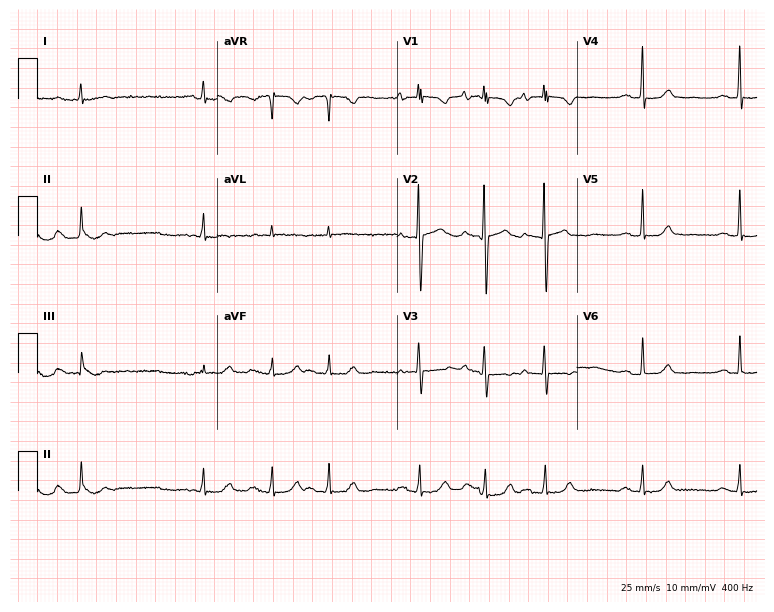
12-lead ECG (7.3-second recording at 400 Hz) from a woman, 70 years old. Labelled as a normal ECG.